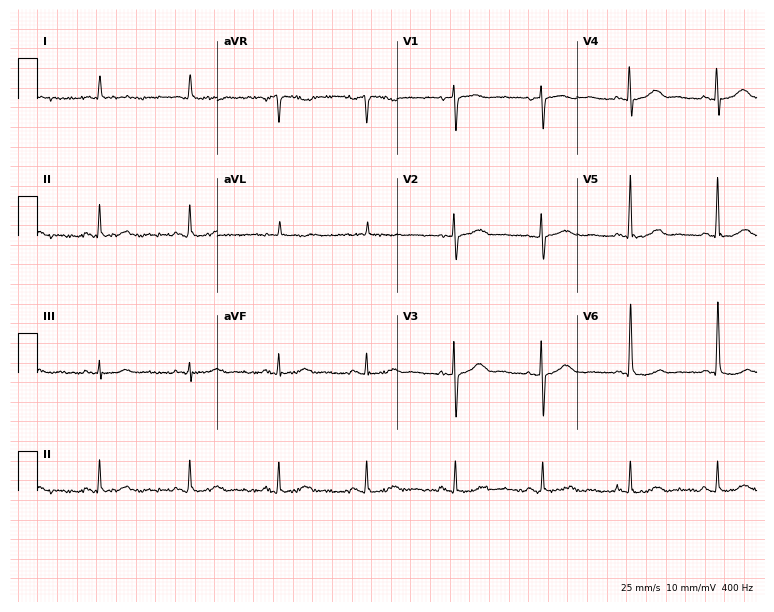
Standard 12-lead ECG recorded from a 25-year-old female (7.3-second recording at 400 Hz). None of these six findings is recorded: first-degree AV block, right bundle branch block, left bundle branch block, sinus bradycardia, atrial fibrillation, sinus tachycardia.